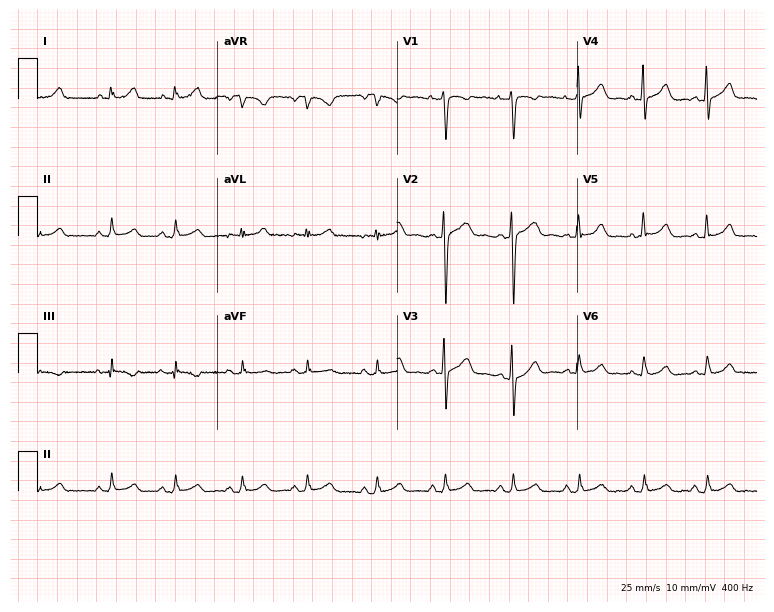
ECG — a woman, 40 years old. Screened for six findings — first-degree AV block, right bundle branch block, left bundle branch block, sinus bradycardia, atrial fibrillation, sinus tachycardia — none is recorded. Other findings, if any, are not listed.